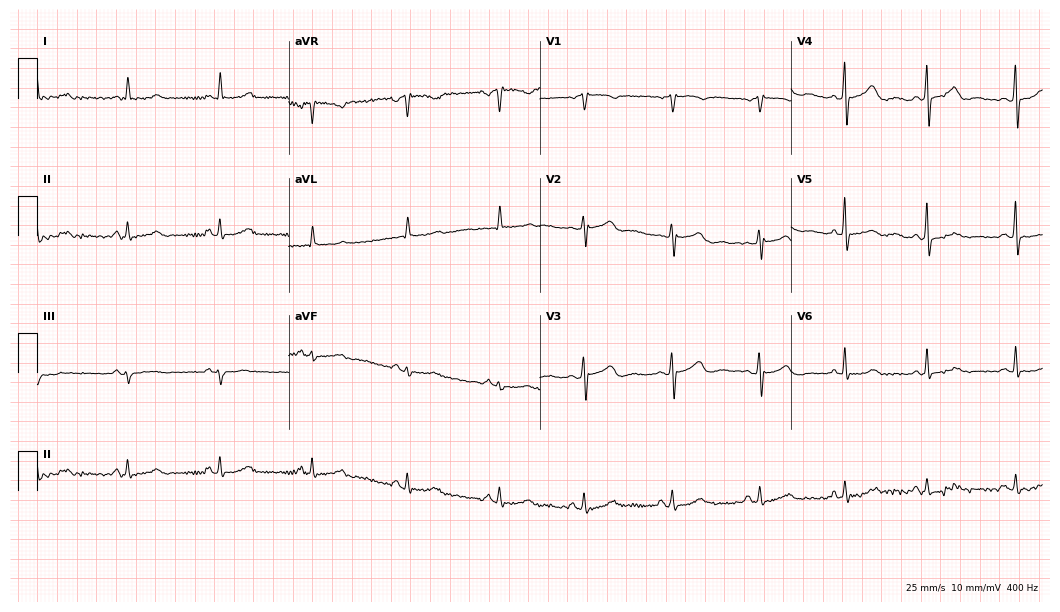
Electrocardiogram (10.2-second recording at 400 Hz), a 45-year-old female patient. Overall reading on record: normal ECG.